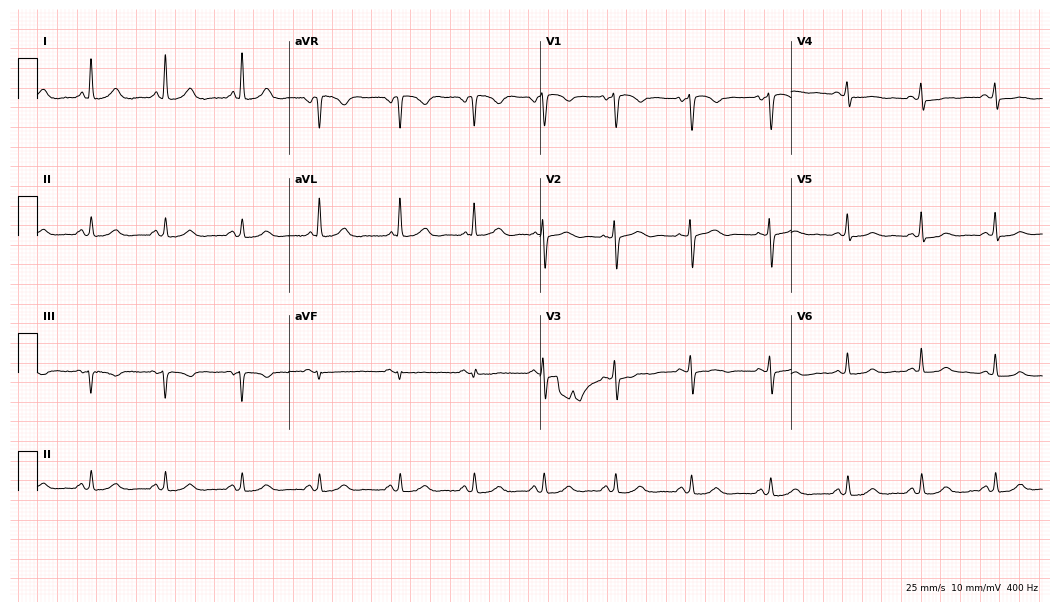
12-lead ECG from a 69-year-old female patient. No first-degree AV block, right bundle branch block, left bundle branch block, sinus bradycardia, atrial fibrillation or sinus tachycardia recorded for this tracing. Findings outside these six are not listed.